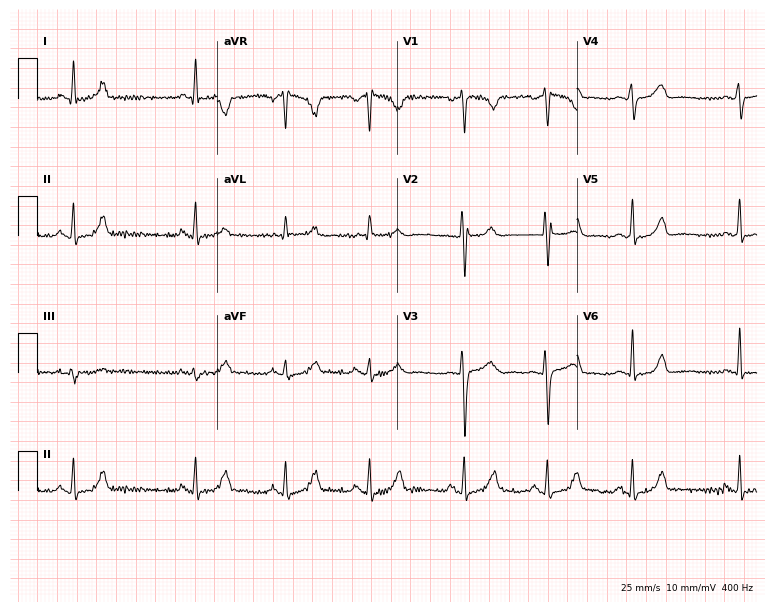
ECG — a woman, 29 years old. Labelled as a normal ECG.